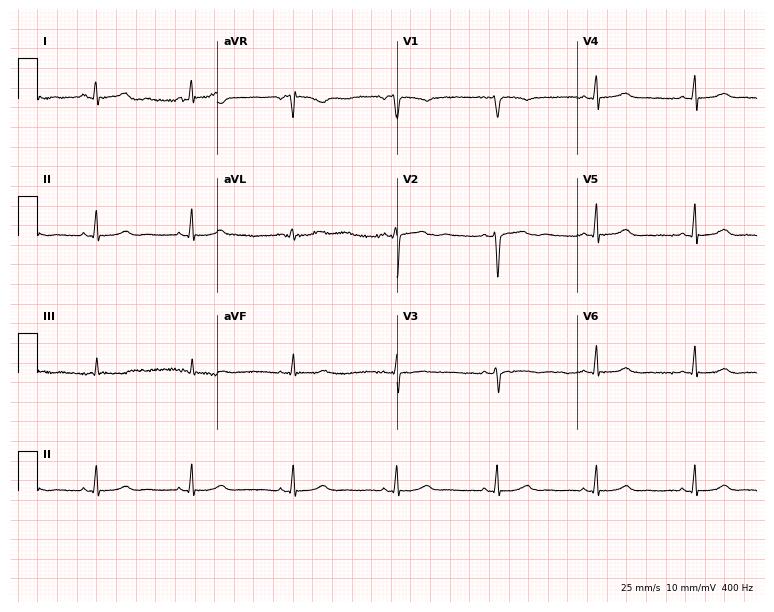
Electrocardiogram, a 36-year-old female. Overall reading on record: normal ECG.